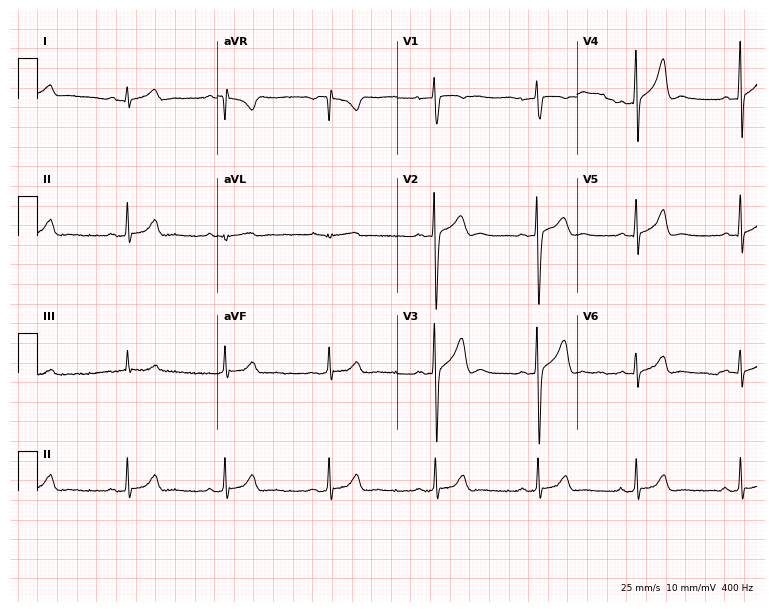
12-lead ECG (7.3-second recording at 400 Hz) from a man, 23 years old. Labelled as a normal ECG.